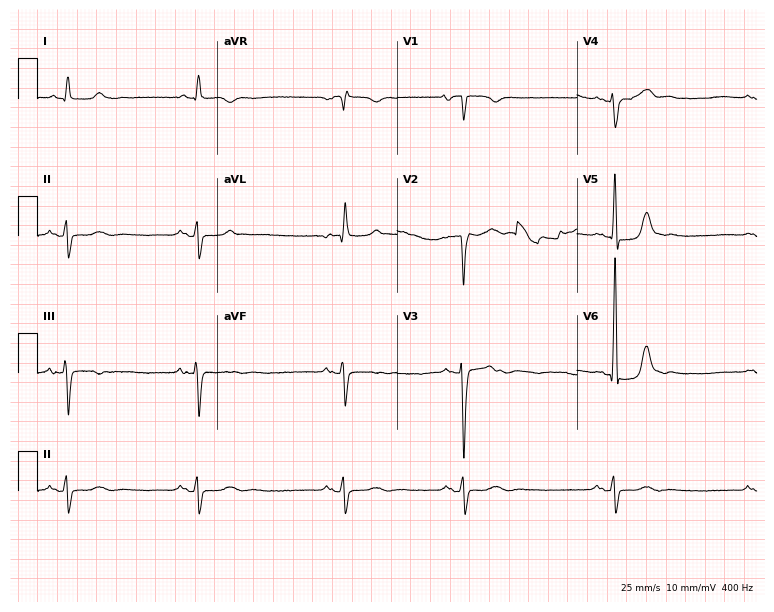
Resting 12-lead electrocardiogram. Patient: a woman, 87 years old. The tracing shows sinus bradycardia (a sinus rate of 50 beats per minute or less).